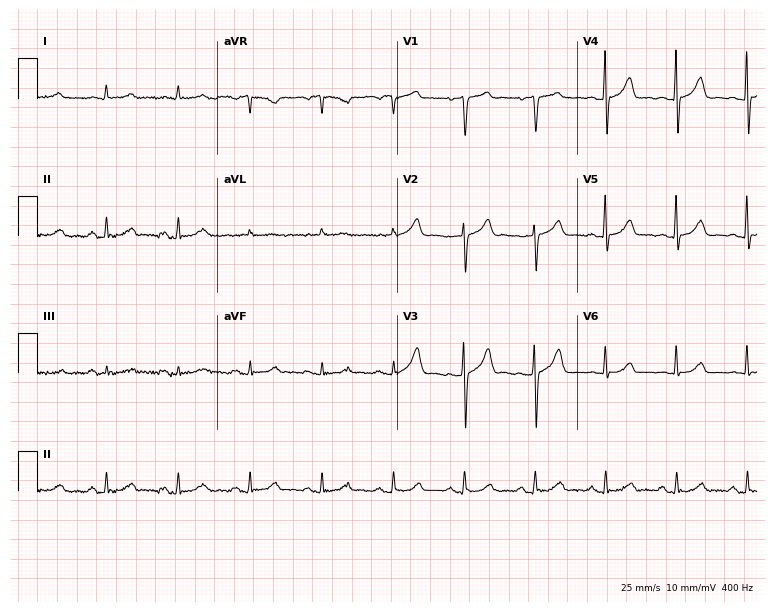
Standard 12-lead ECG recorded from a 70-year-old male (7.3-second recording at 400 Hz). Read as a normal ECG.